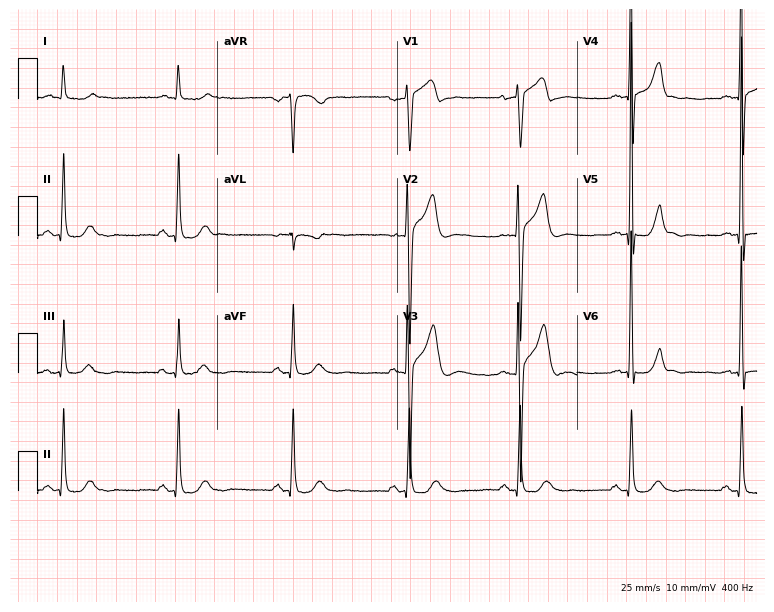
12-lead ECG from a 60-year-old male patient. Screened for six findings — first-degree AV block, right bundle branch block, left bundle branch block, sinus bradycardia, atrial fibrillation, sinus tachycardia — none is recorded. Only these six findings were labelled.